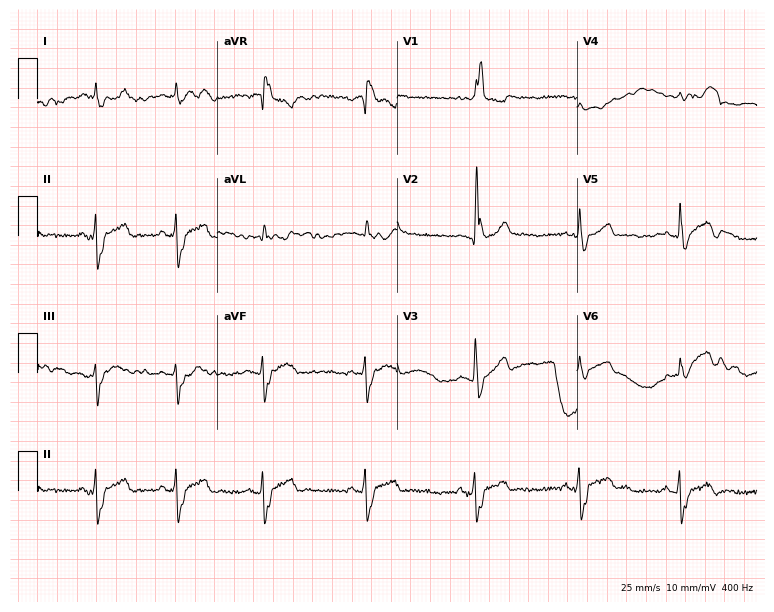
ECG — a male, 56 years old. Screened for six findings — first-degree AV block, right bundle branch block, left bundle branch block, sinus bradycardia, atrial fibrillation, sinus tachycardia — none is recorded.